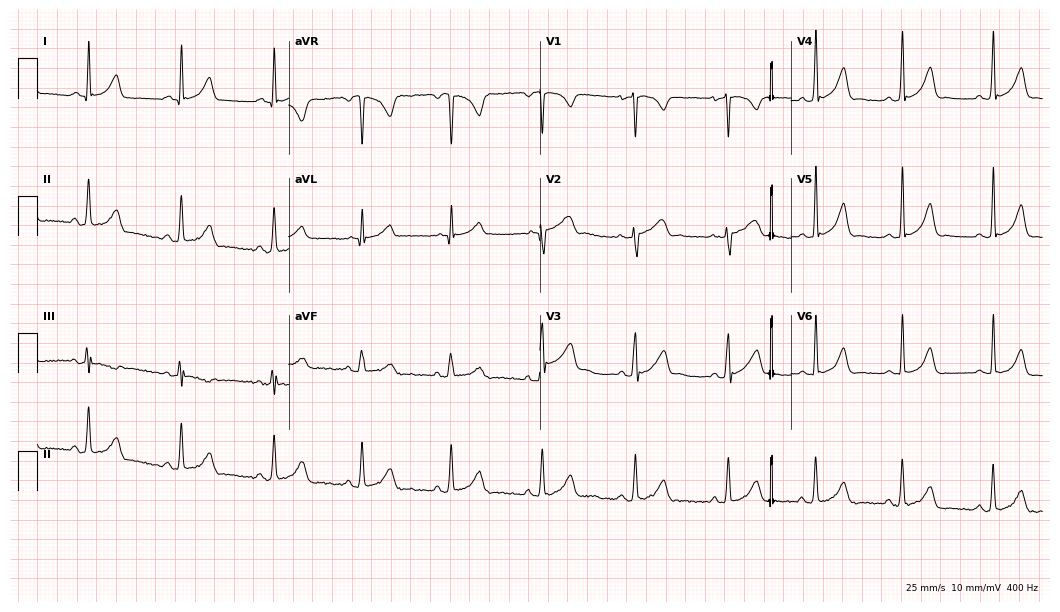
Resting 12-lead electrocardiogram. Patient: a 17-year-old female. Read as a normal ECG.